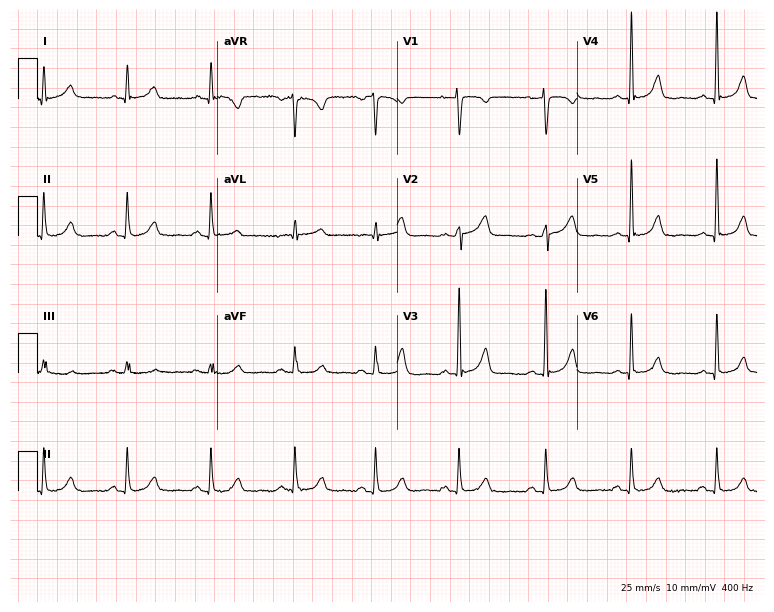
12-lead ECG from a 40-year-old woman (7.3-second recording at 400 Hz). No first-degree AV block, right bundle branch block (RBBB), left bundle branch block (LBBB), sinus bradycardia, atrial fibrillation (AF) or sinus tachycardia recorded for this tracing.